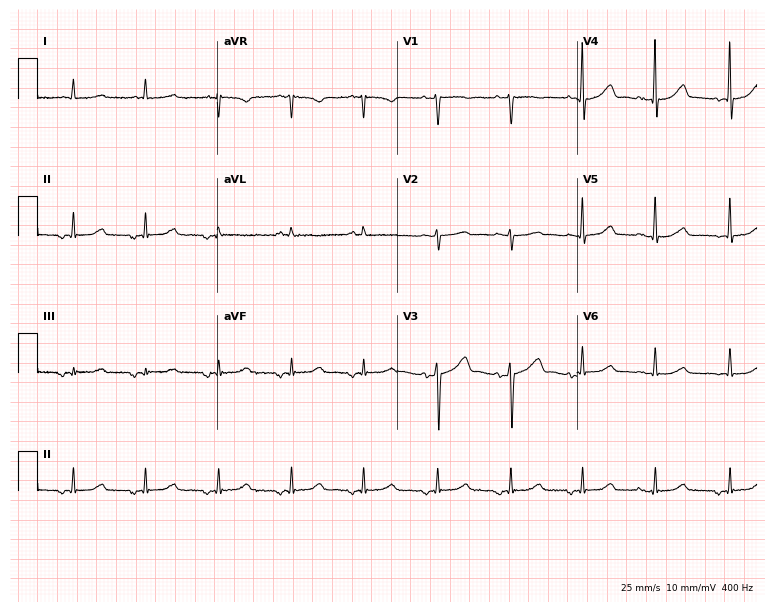
12-lead ECG (7.3-second recording at 400 Hz) from an 82-year-old female patient. Screened for six findings — first-degree AV block, right bundle branch block, left bundle branch block, sinus bradycardia, atrial fibrillation, sinus tachycardia — none is recorded. Other findings, if any, are not listed.